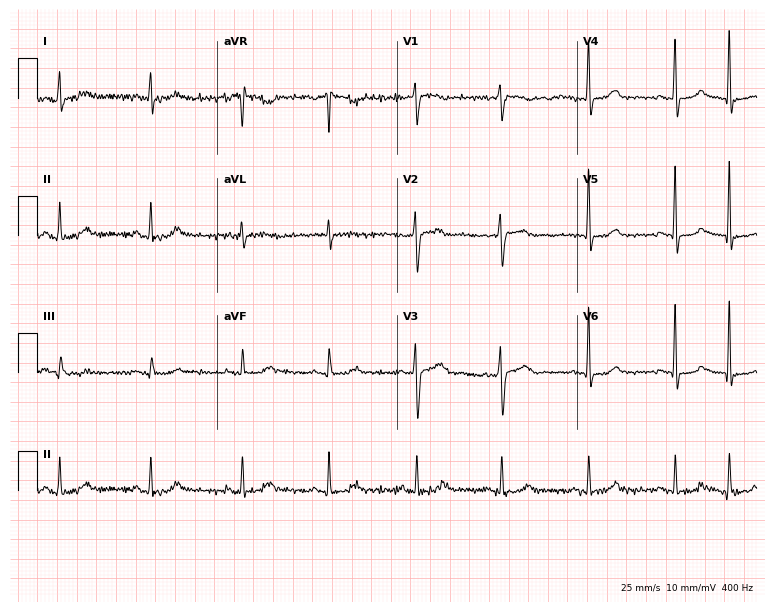
Electrocardiogram, a 51-year-old woman. Of the six screened findings (first-degree AV block, right bundle branch block, left bundle branch block, sinus bradycardia, atrial fibrillation, sinus tachycardia), none is recorded.